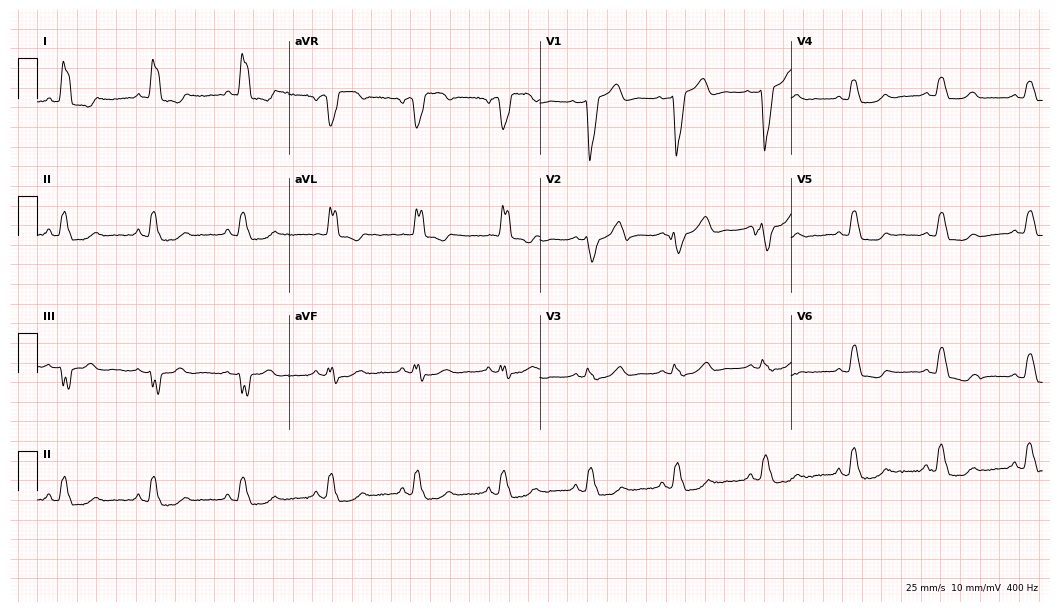
12-lead ECG from a 51-year-old female patient. Findings include left bundle branch block (LBBB).